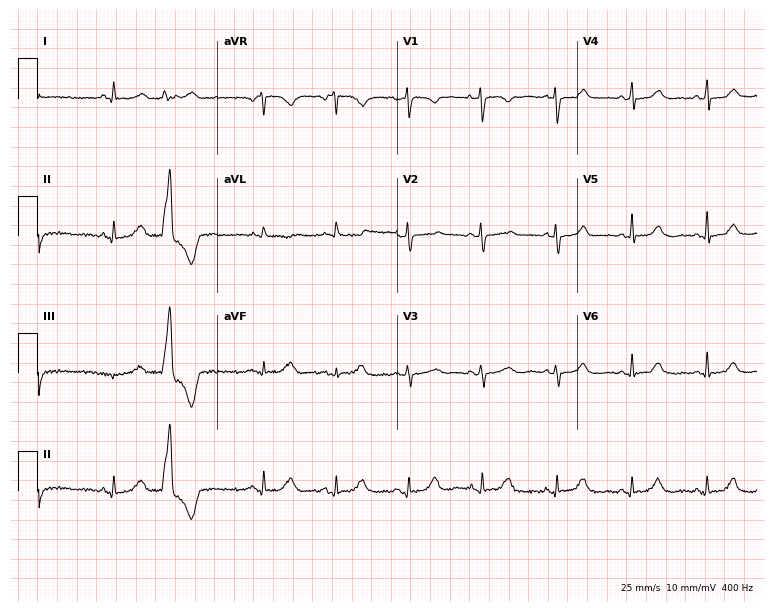
ECG — a 36-year-old woman. Screened for six findings — first-degree AV block, right bundle branch block, left bundle branch block, sinus bradycardia, atrial fibrillation, sinus tachycardia — none is recorded. Only these six findings were labelled.